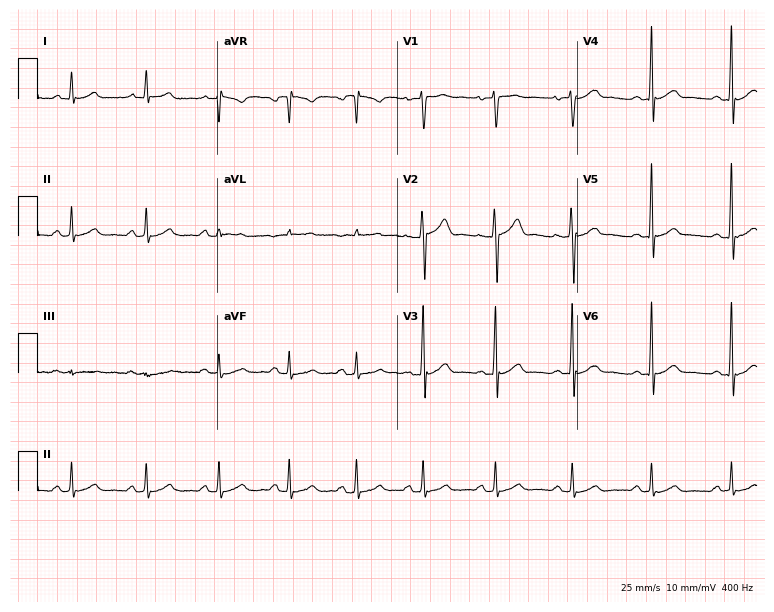
Standard 12-lead ECG recorded from a male patient, 42 years old (7.3-second recording at 400 Hz). Read as a normal ECG.